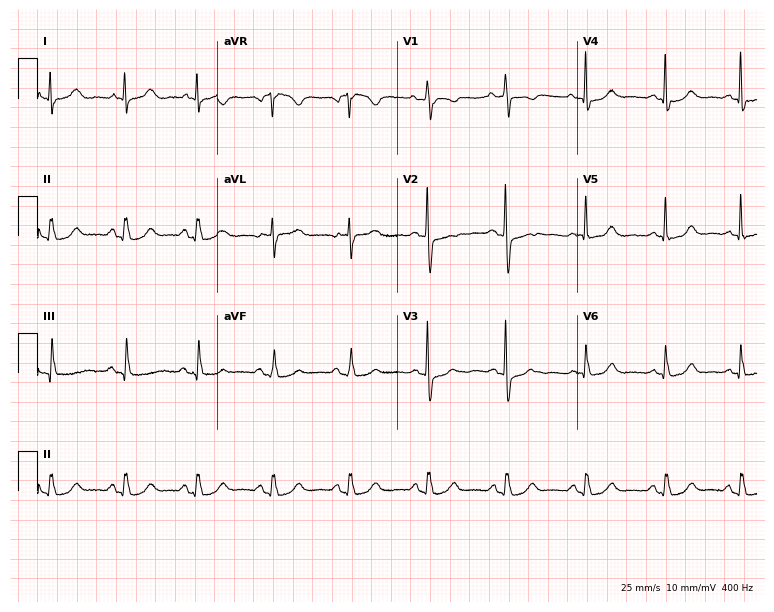
12-lead ECG (7.3-second recording at 400 Hz) from a 61-year-old woman. Labelled as a normal ECG.